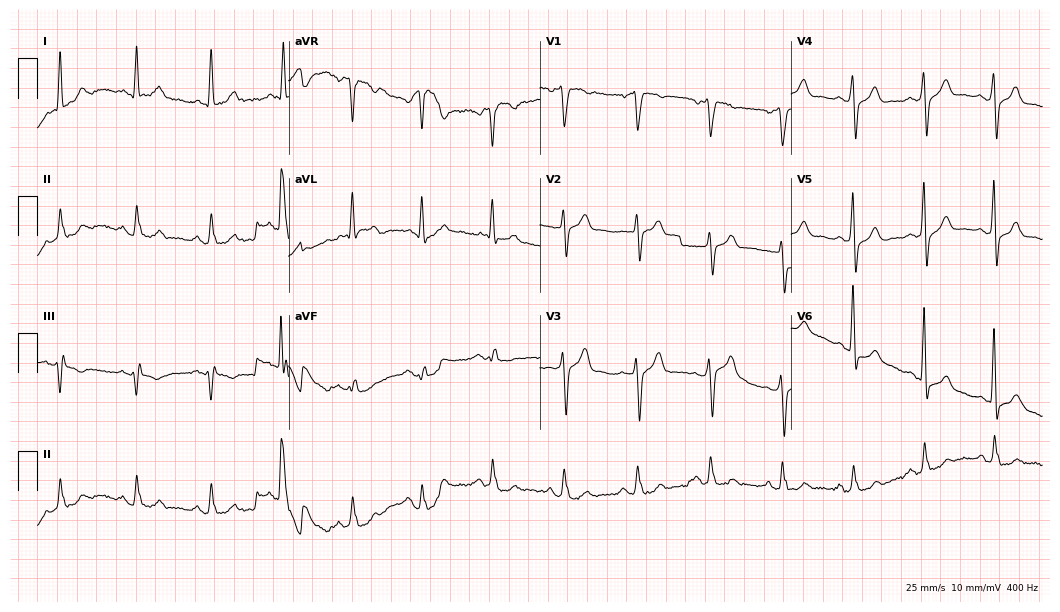
Standard 12-lead ECG recorded from a 59-year-old male patient (10.2-second recording at 400 Hz). None of these six findings is recorded: first-degree AV block, right bundle branch block, left bundle branch block, sinus bradycardia, atrial fibrillation, sinus tachycardia.